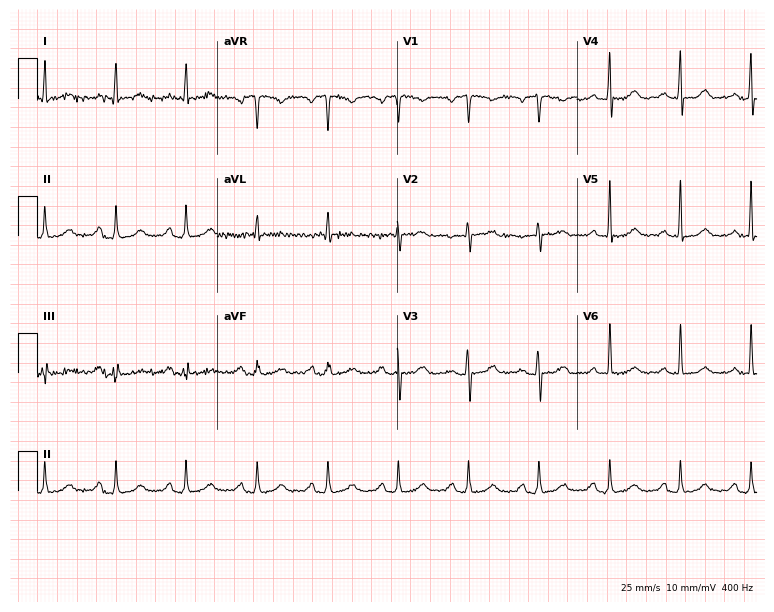
Resting 12-lead electrocardiogram (7.3-second recording at 400 Hz). Patient: a 57-year-old woman. Read as a normal ECG.